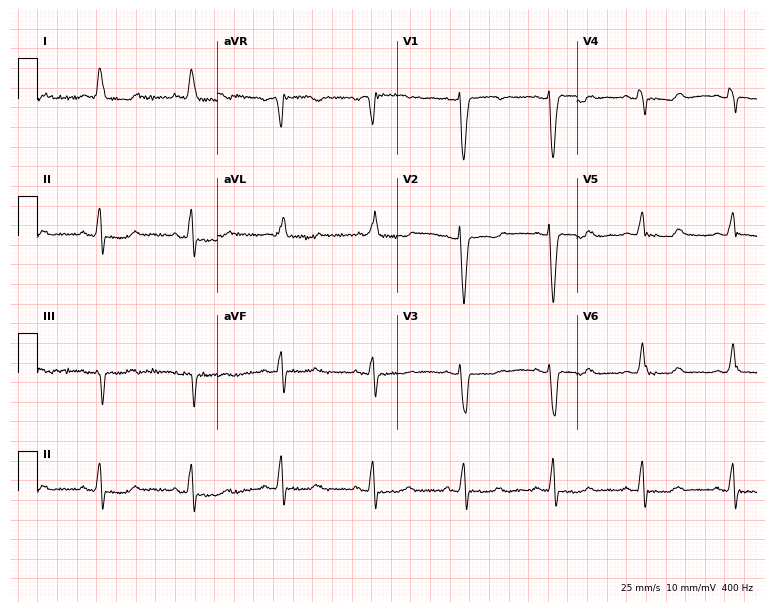
Electrocardiogram (7.3-second recording at 400 Hz), a female patient, 85 years old. Of the six screened findings (first-degree AV block, right bundle branch block, left bundle branch block, sinus bradycardia, atrial fibrillation, sinus tachycardia), none is recorded.